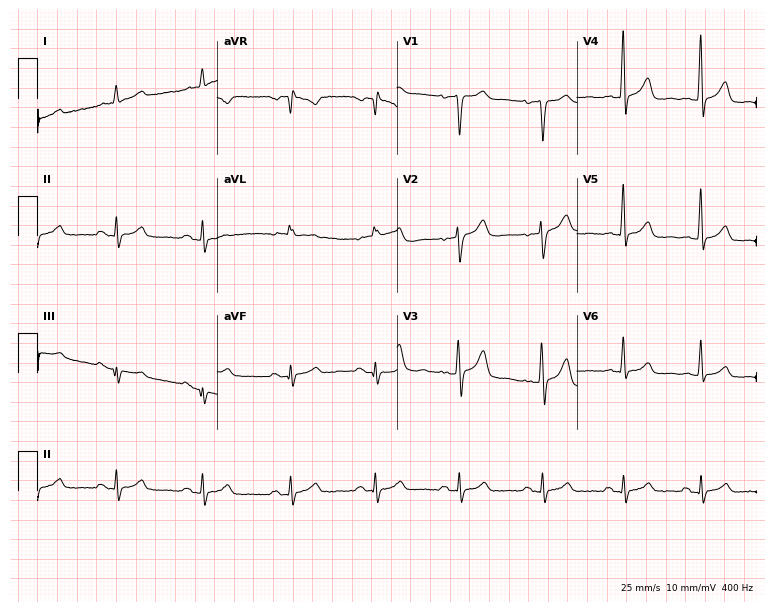
12-lead ECG from a 46-year-old male. Screened for six findings — first-degree AV block, right bundle branch block, left bundle branch block, sinus bradycardia, atrial fibrillation, sinus tachycardia — none is recorded. Other findings, if any, are not listed.